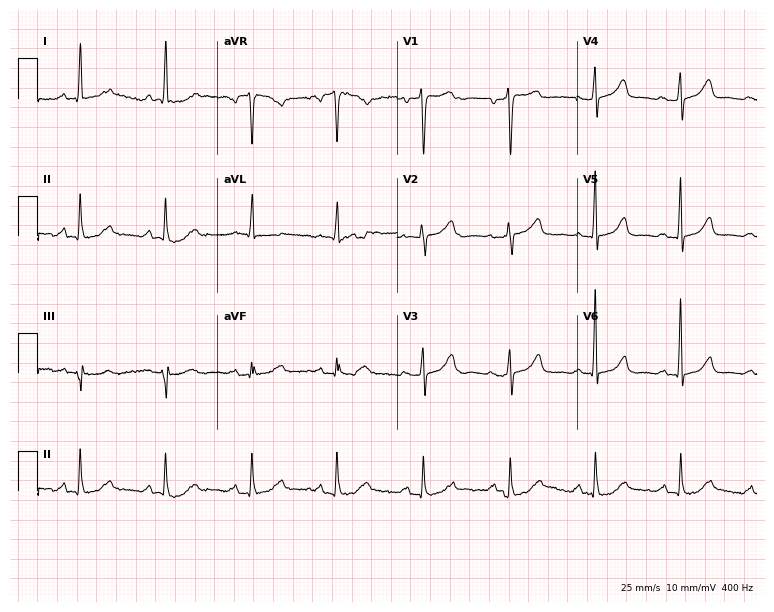
ECG (7.3-second recording at 400 Hz) — a female, 70 years old. Screened for six findings — first-degree AV block, right bundle branch block, left bundle branch block, sinus bradycardia, atrial fibrillation, sinus tachycardia — none is recorded. Only these six findings were labelled.